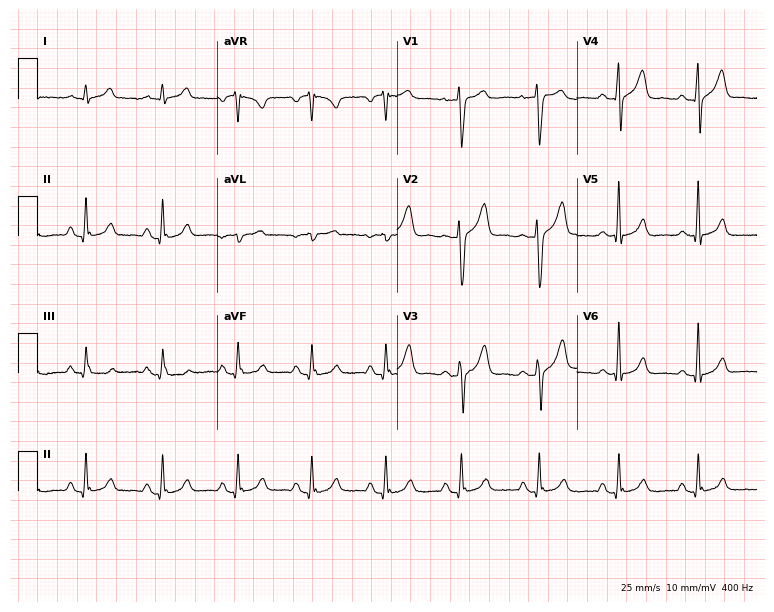
12-lead ECG from a 38-year-old male patient. Labelled as a normal ECG.